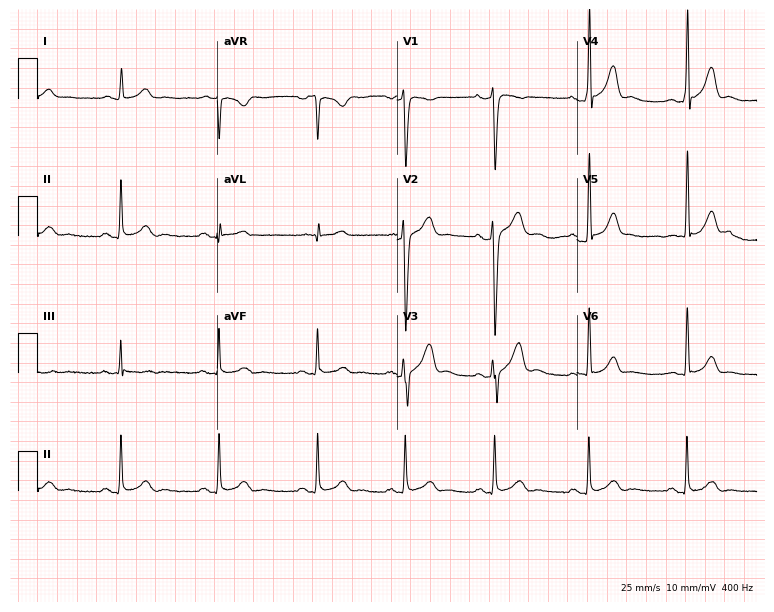
12-lead ECG from a 42-year-old male patient. Screened for six findings — first-degree AV block, right bundle branch block, left bundle branch block, sinus bradycardia, atrial fibrillation, sinus tachycardia — none is recorded. Only these six findings were labelled.